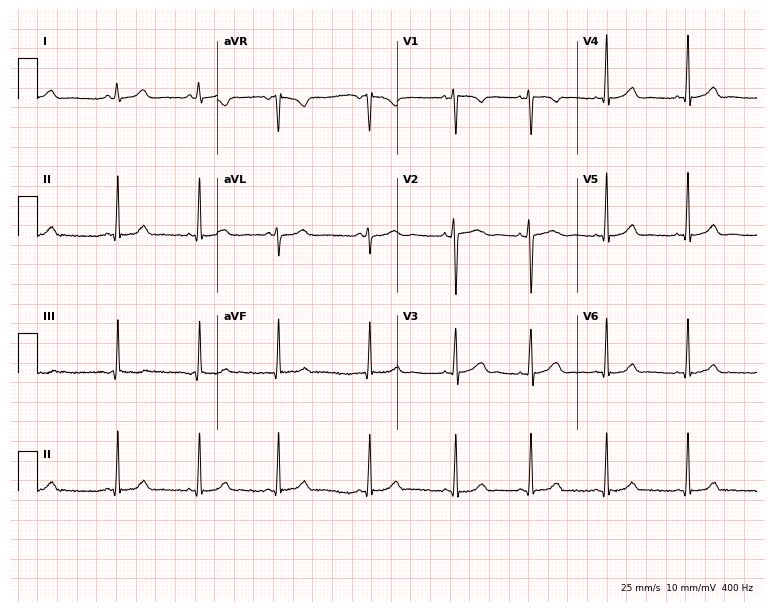
ECG — a 20-year-old woman. Labelled as a normal ECG.